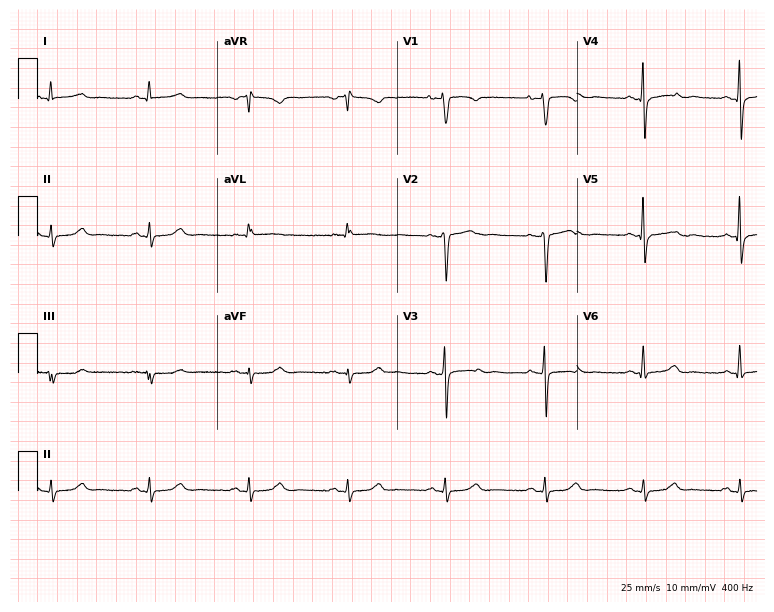
Standard 12-lead ECG recorded from a 49-year-old female patient. Read as a normal ECG.